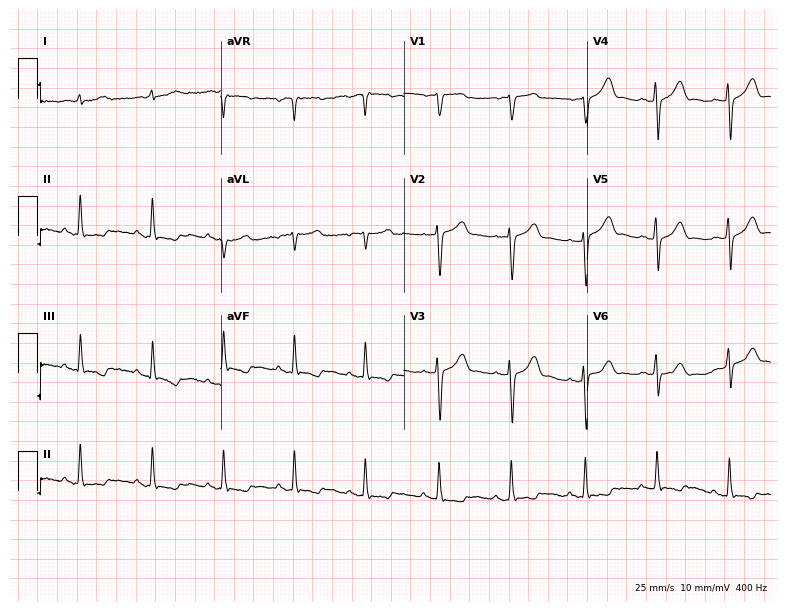
12-lead ECG (7.5-second recording at 400 Hz) from an 83-year-old male patient. Screened for six findings — first-degree AV block, right bundle branch block, left bundle branch block, sinus bradycardia, atrial fibrillation, sinus tachycardia — none is recorded. Only these six findings were labelled.